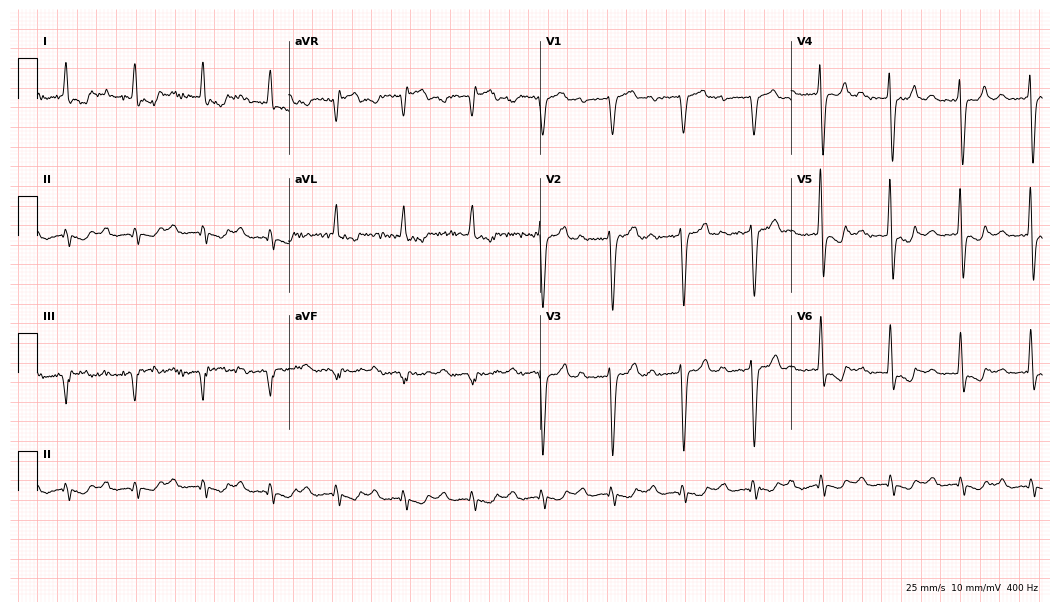
Electrocardiogram (10.2-second recording at 400 Hz), an 83-year-old male patient. Interpretation includes first-degree AV block, left bundle branch block (LBBB).